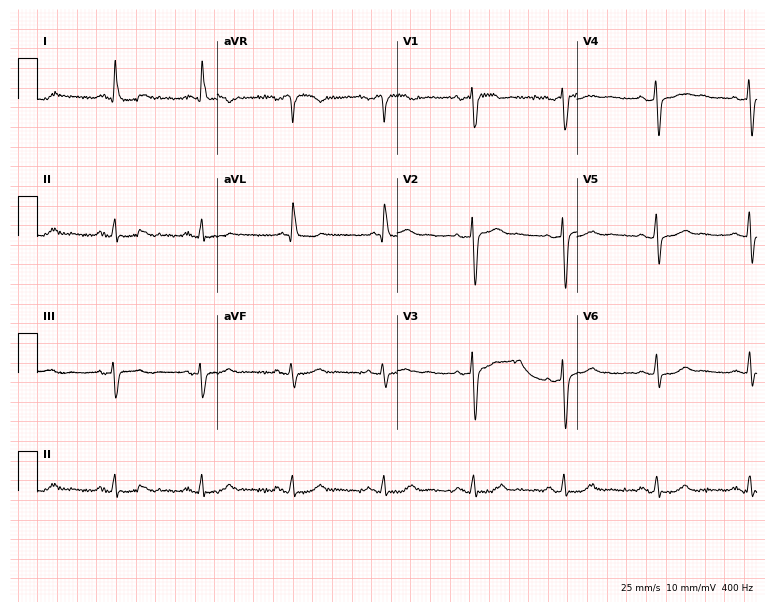
12-lead ECG from a 59-year-old female. Labelled as a normal ECG.